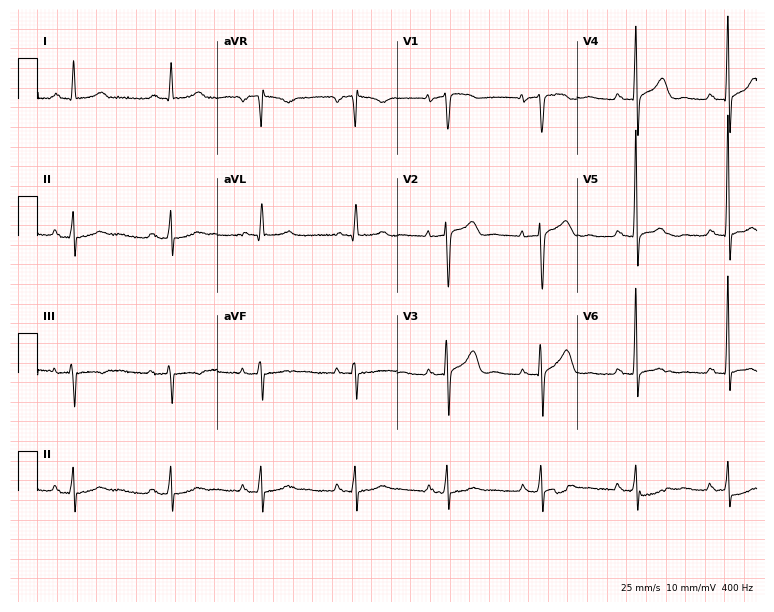
Electrocardiogram, a woman, 78 years old. Of the six screened findings (first-degree AV block, right bundle branch block (RBBB), left bundle branch block (LBBB), sinus bradycardia, atrial fibrillation (AF), sinus tachycardia), none is recorded.